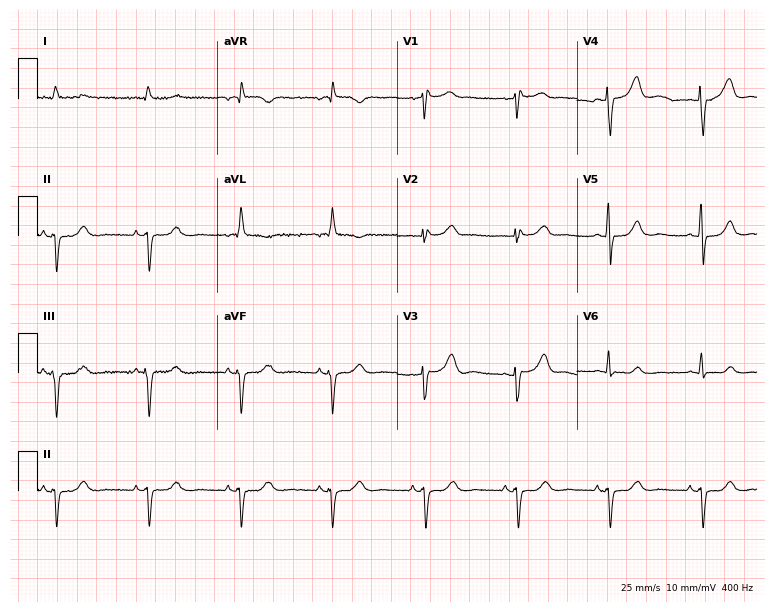
Resting 12-lead electrocardiogram (7.3-second recording at 400 Hz). Patient: a 77-year-old female. None of these six findings is recorded: first-degree AV block, right bundle branch block, left bundle branch block, sinus bradycardia, atrial fibrillation, sinus tachycardia.